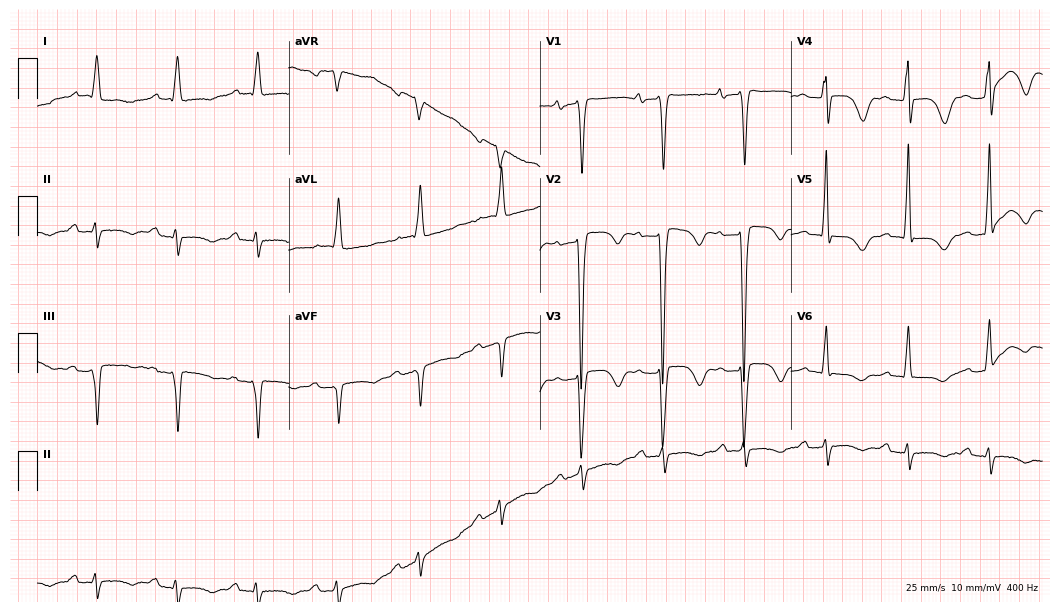
12-lead ECG from a 78-year-old man. No first-degree AV block, right bundle branch block, left bundle branch block, sinus bradycardia, atrial fibrillation or sinus tachycardia recorded for this tracing.